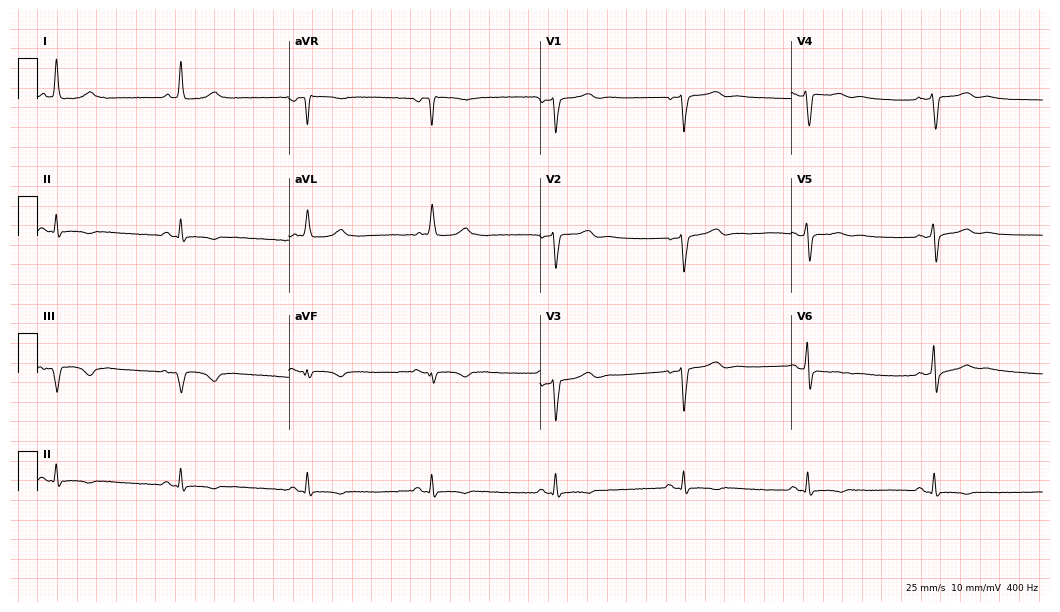
12-lead ECG from a man, 66 years old. Screened for six findings — first-degree AV block, right bundle branch block (RBBB), left bundle branch block (LBBB), sinus bradycardia, atrial fibrillation (AF), sinus tachycardia — none is recorded. Other findings, if any, are not listed.